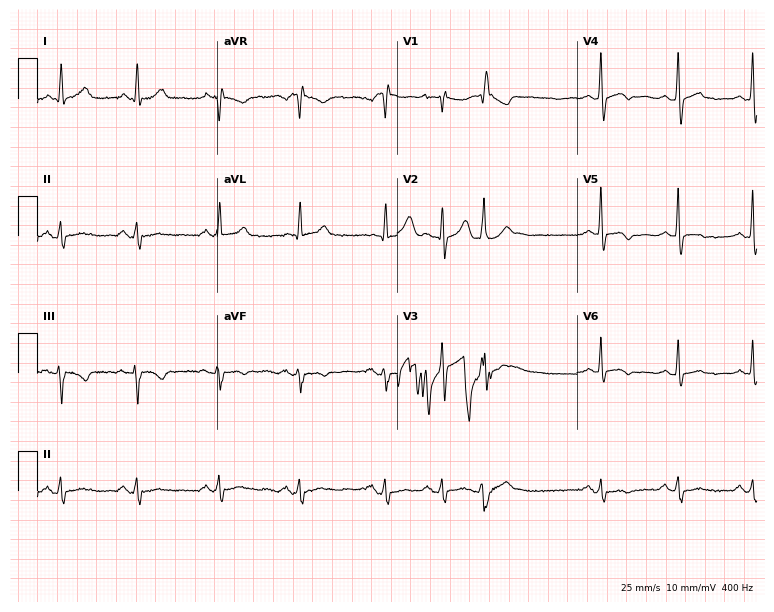
Standard 12-lead ECG recorded from a man, 71 years old (7.3-second recording at 400 Hz). None of these six findings is recorded: first-degree AV block, right bundle branch block, left bundle branch block, sinus bradycardia, atrial fibrillation, sinus tachycardia.